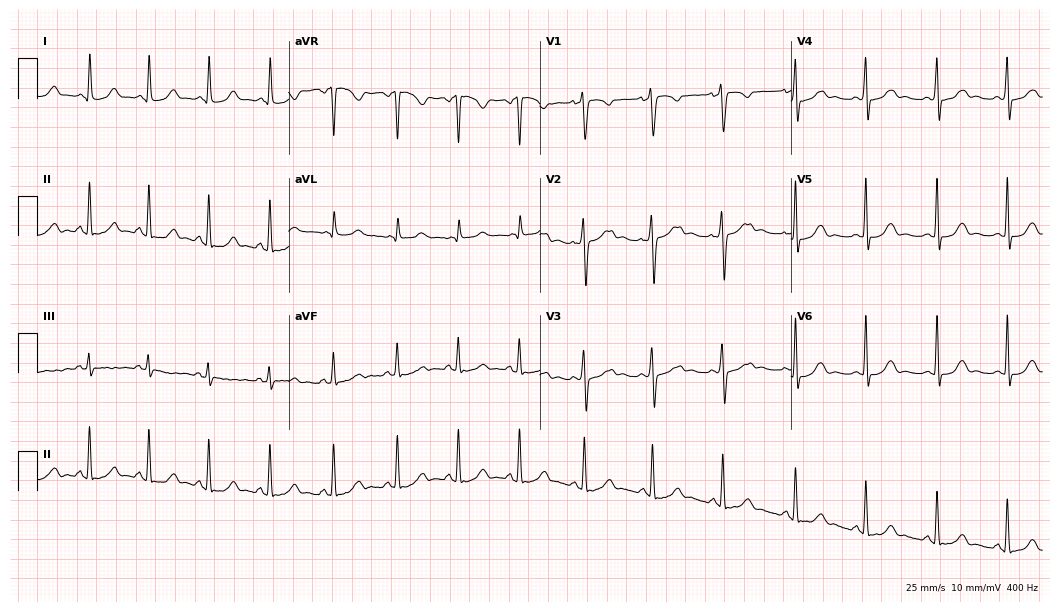
Electrocardiogram, a woman, 36 years old. Overall reading on record: normal ECG.